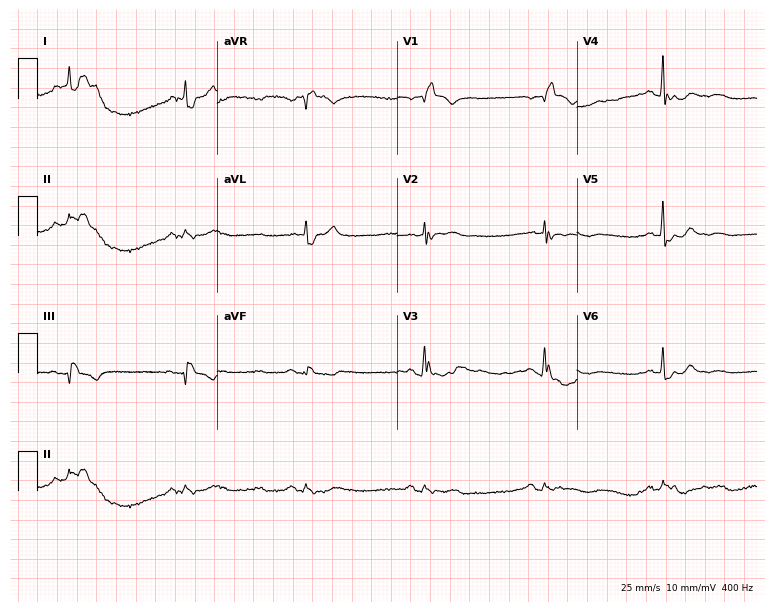
Standard 12-lead ECG recorded from a 78-year-old man. None of these six findings is recorded: first-degree AV block, right bundle branch block, left bundle branch block, sinus bradycardia, atrial fibrillation, sinus tachycardia.